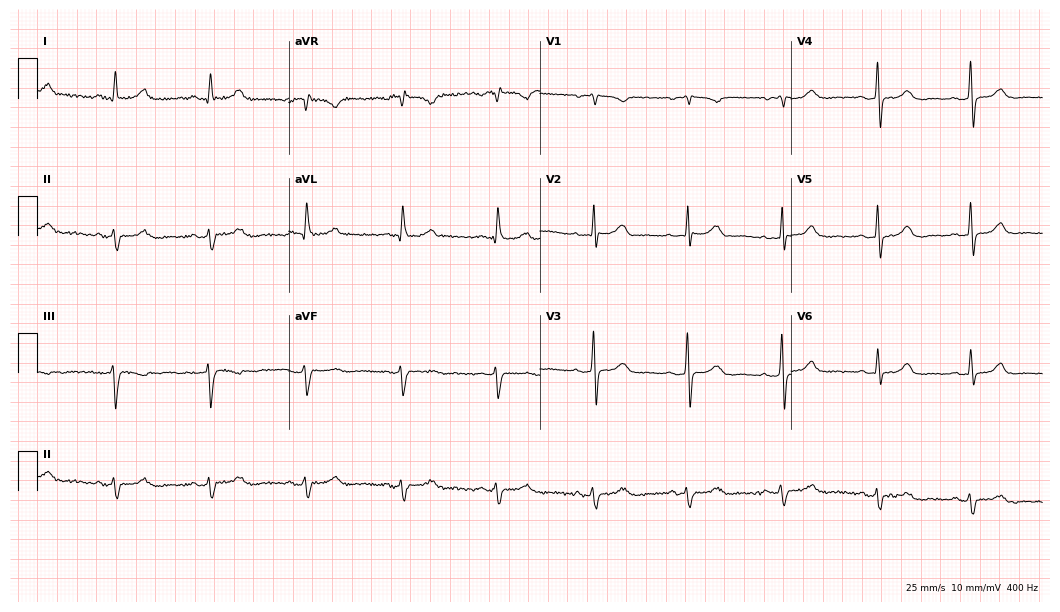
Electrocardiogram (10.2-second recording at 400 Hz), a 56-year-old female. Of the six screened findings (first-degree AV block, right bundle branch block (RBBB), left bundle branch block (LBBB), sinus bradycardia, atrial fibrillation (AF), sinus tachycardia), none is recorded.